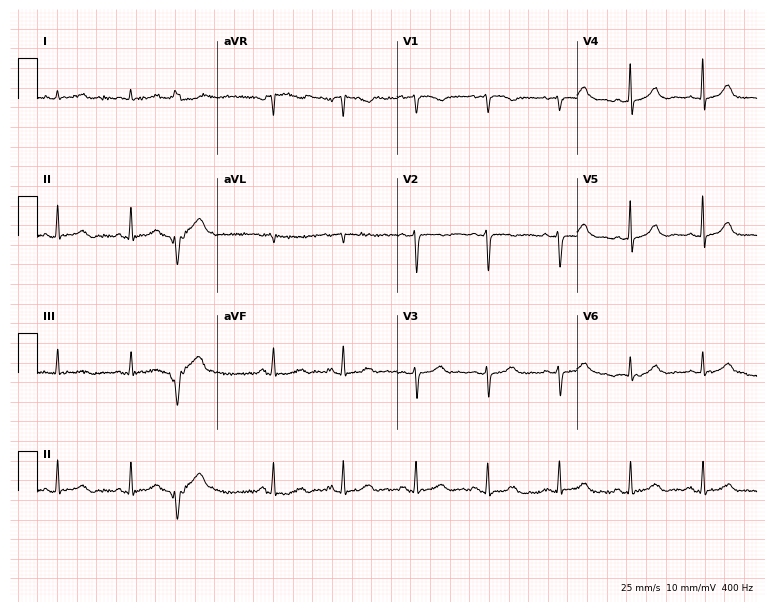
12-lead ECG from an 83-year-old woman. No first-degree AV block, right bundle branch block, left bundle branch block, sinus bradycardia, atrial fibrillation or sinus tachycardia recorded for this tracing.